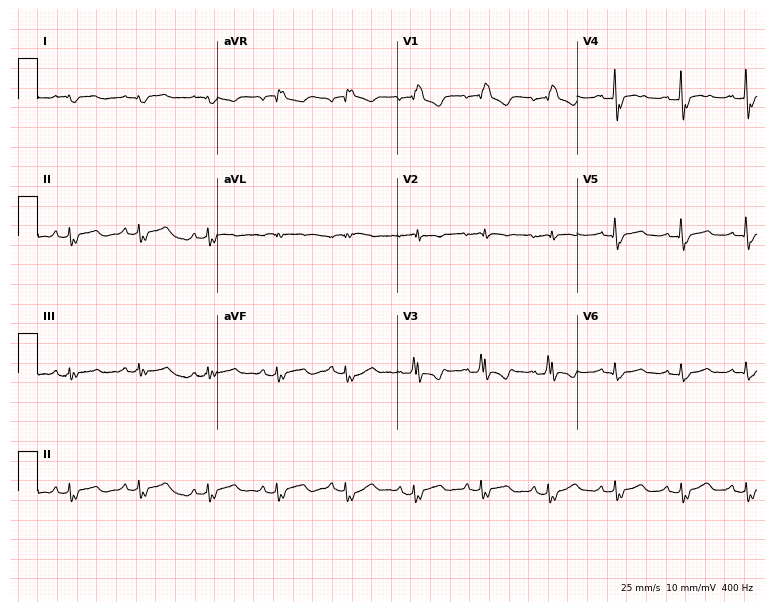
ECG (7.3-second recording at 400 Hz) — a man, 61 years old. Findings include right bundle branch block (RBBB).